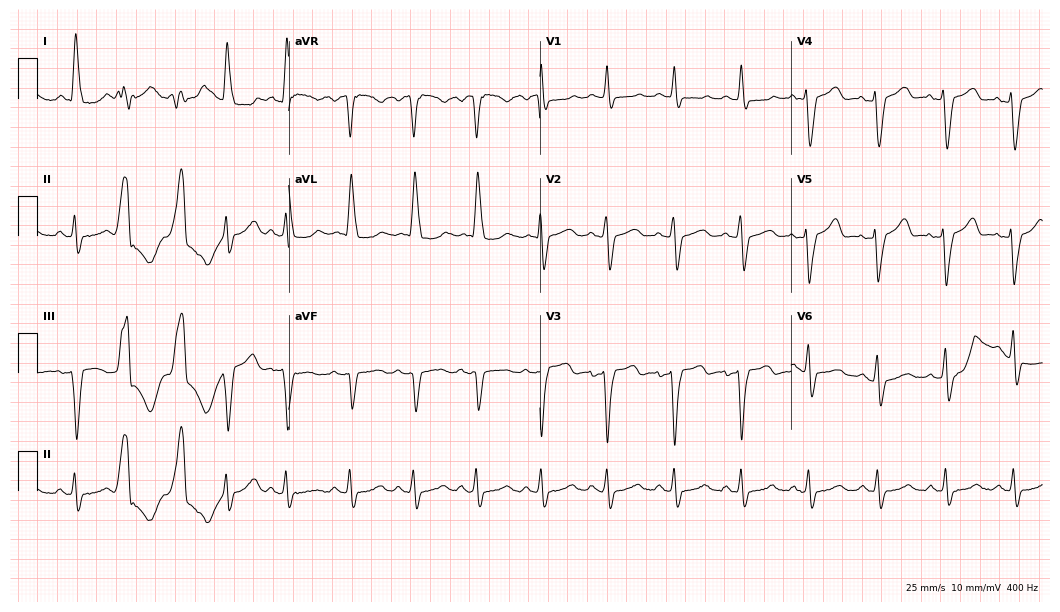
Resting 12-lead electrocardiogram. Patient: a woman, 66 years old. None of these six findings is recorded: first-degree AV block, right bundle branch block (RBBB), left bundle branch block (LBBB), sinus bradycardia, atrial fibrillation (AF), sinus tachycardia. Other findings, if any, are not listed.